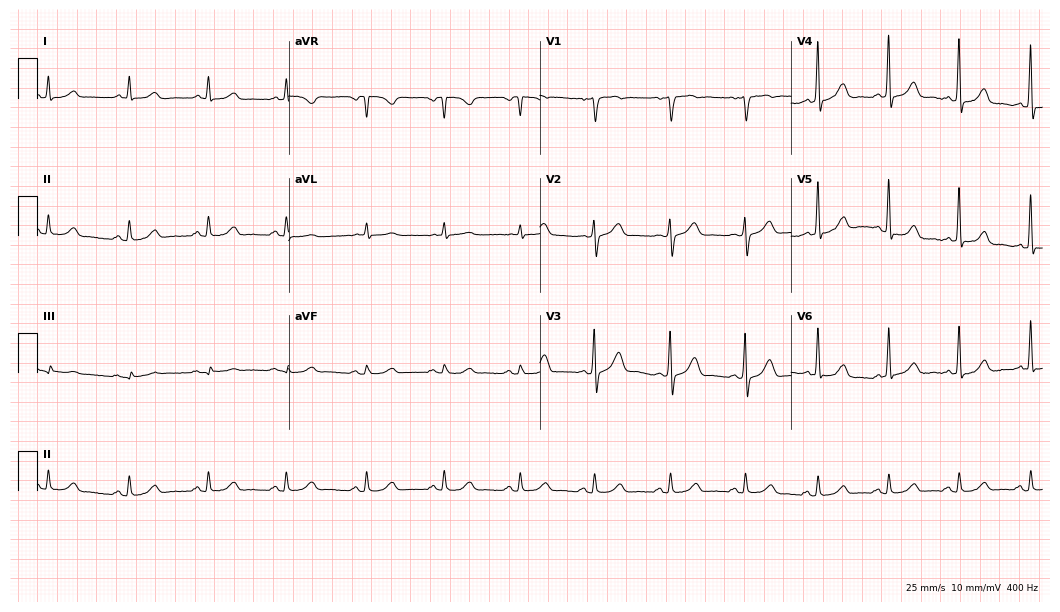
Electrocardiogram (10.2-second recording at 400 Hz), a man, 57 years old. Overall reading on record: normal ECG.